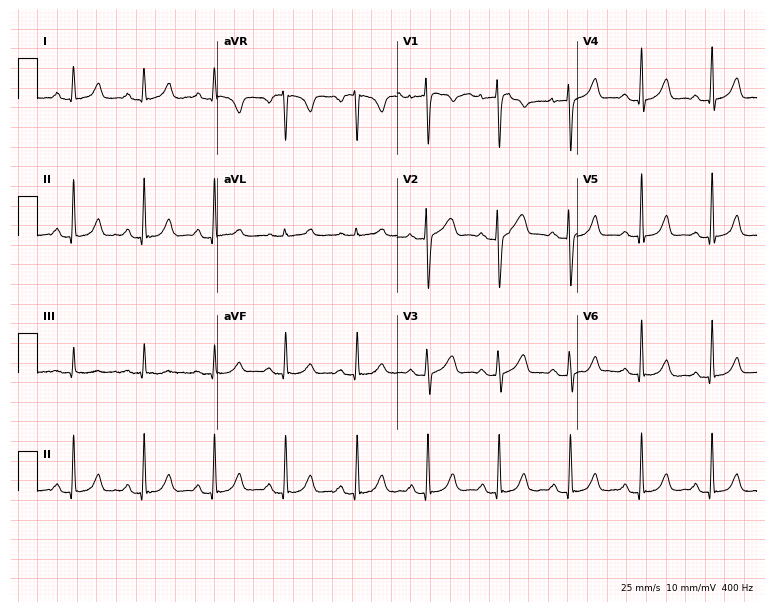
ECG — a 49-year-old female. Labelled as a normal ECG.